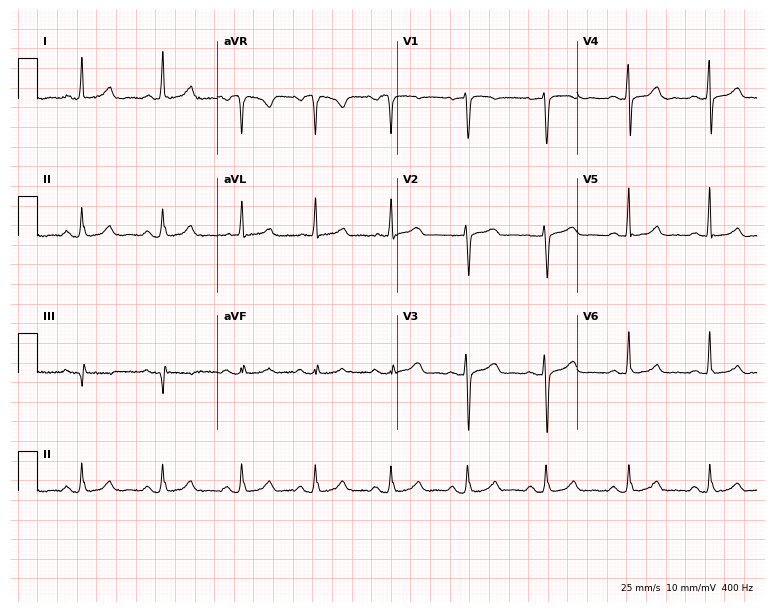
Standard 12-lead ECG recorded from a 43-year-old woman. None of these six findings is recorded: first-degree AV block, right bundle branch block, left bundle branch block, sinus bradycardia, atrial fibrillation, sinus tachycardia.